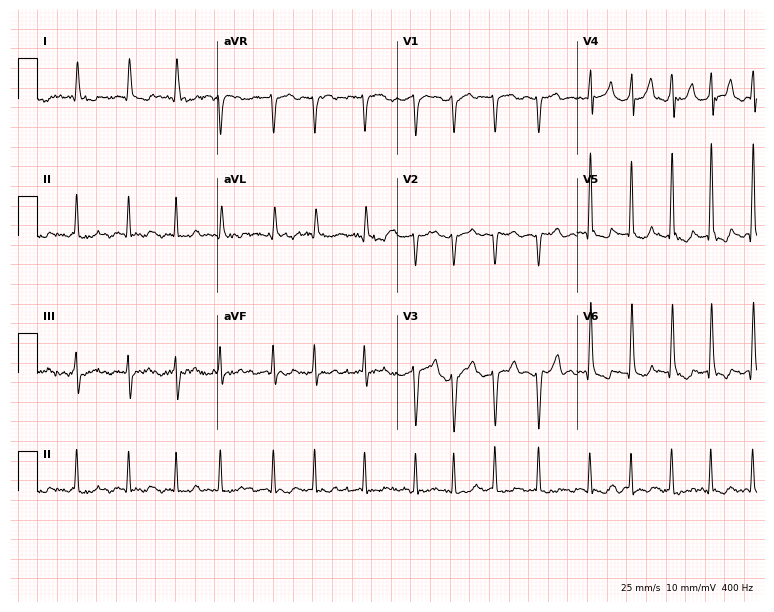
ECG (7.3-second recording at 400 Hz) — a female, 54 years old. Findings include atrial fibrillation.